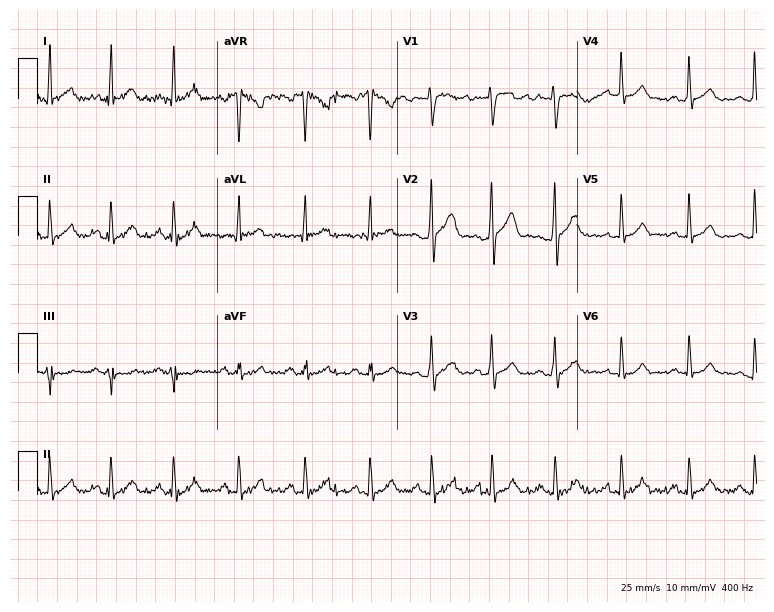
12-lead ECG (7.3-second recording at 400 Hz) from a male, 22 years old. Labelled as a normal ECG.